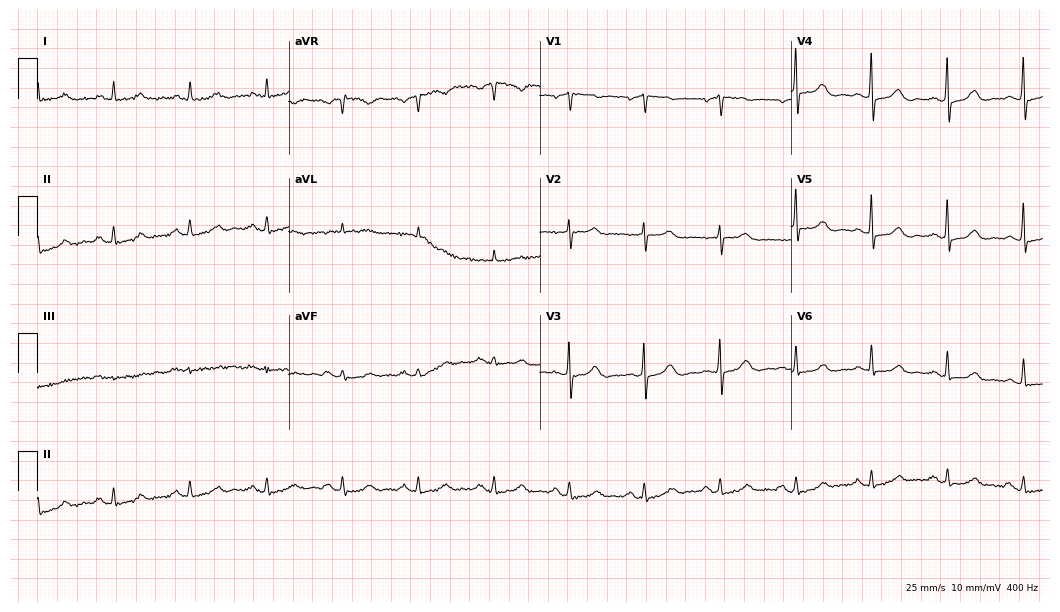
Resting 12-lead electrocardiogram. Patient: a woman, 84 years old. Read as a normal ECG.